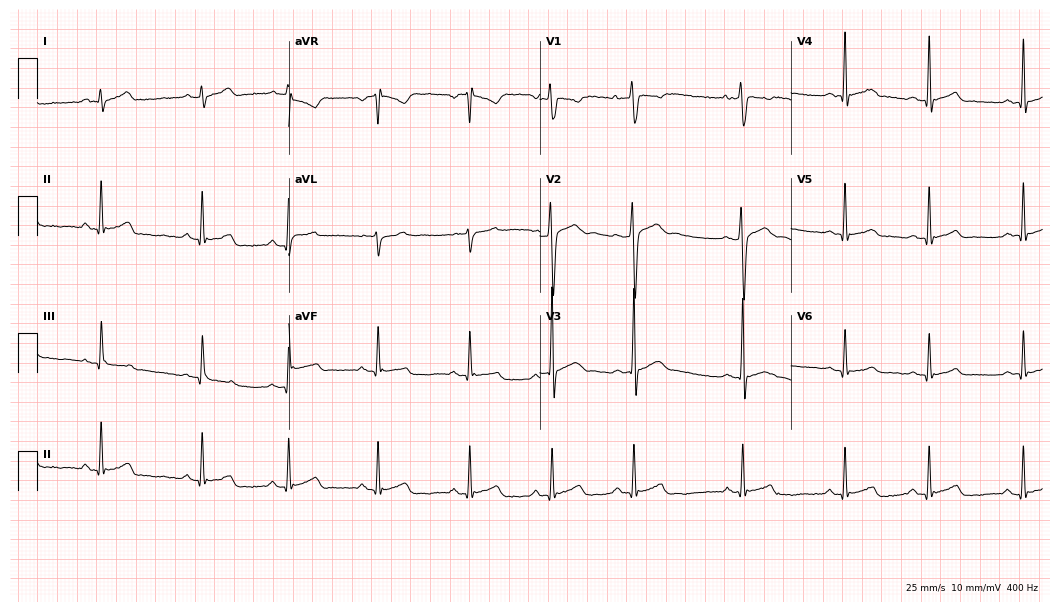
Electrocardiogram (10.2-second recording at 400 Hz), an 18-year-old man. Of the six screened findings (first-degree AV block, right bundle branch block, left bundle branch block, sinus bradycardia, atrial fibrillation, sinus tachycardia), none is recorded.